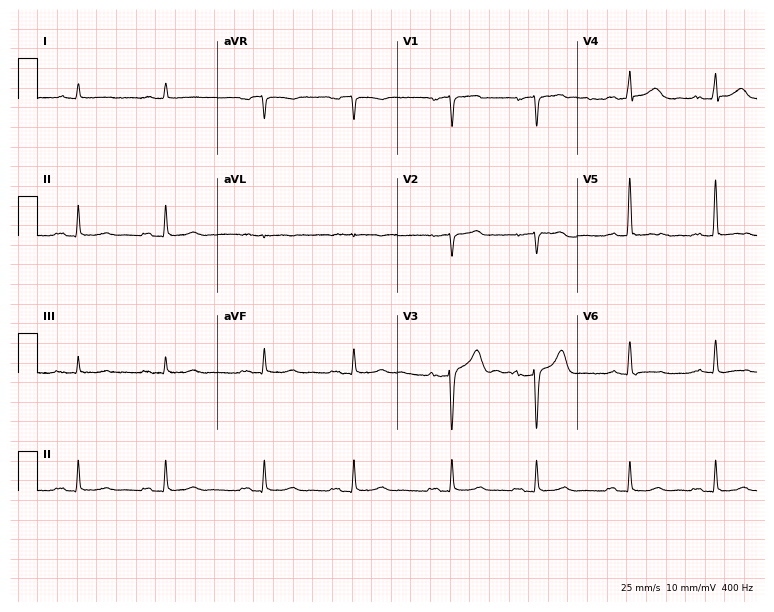
12-lead ECG from a male, 71 years old (7.3-second recording at 400 Hz). Shows first-degree AV block.